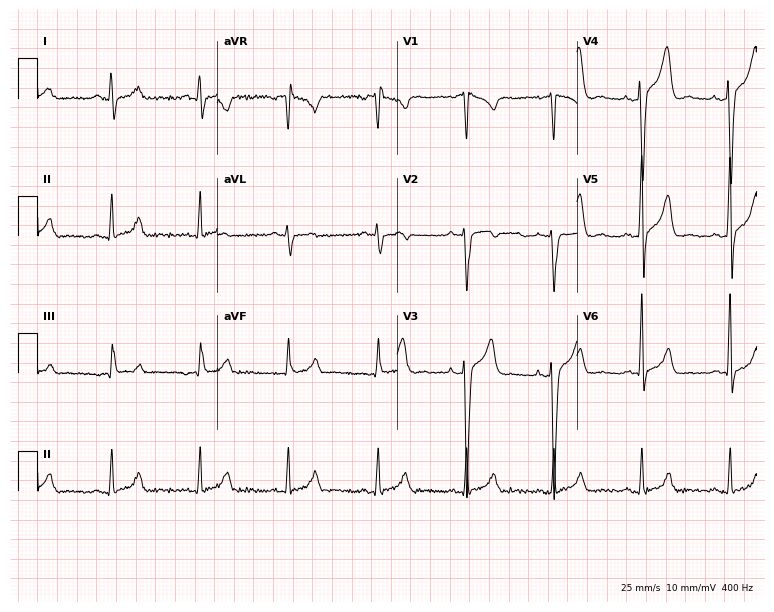
Resting 12-lead electrocardiogram. Patient: a man, 37 years old. Read as a normal ECG.